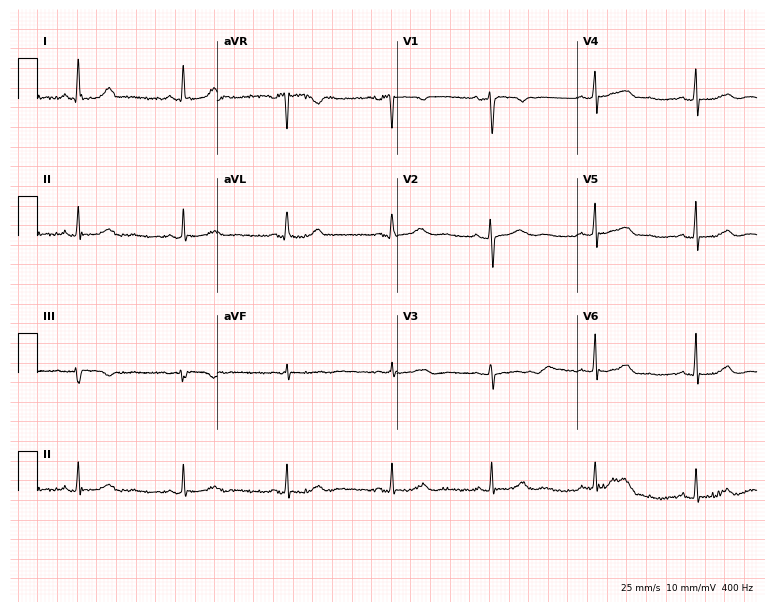
12-lead ECG from a 46-year-old female (7.3-second recording at 400 Hz). No first-degree AV block, right bundle branch block (RBBB), left bundle branch block (LBBB), sinus bradycardia, atrial fibrillation (AF) or sinus tachycardia recorded for this tracing. Other findings, if any, are not listed.